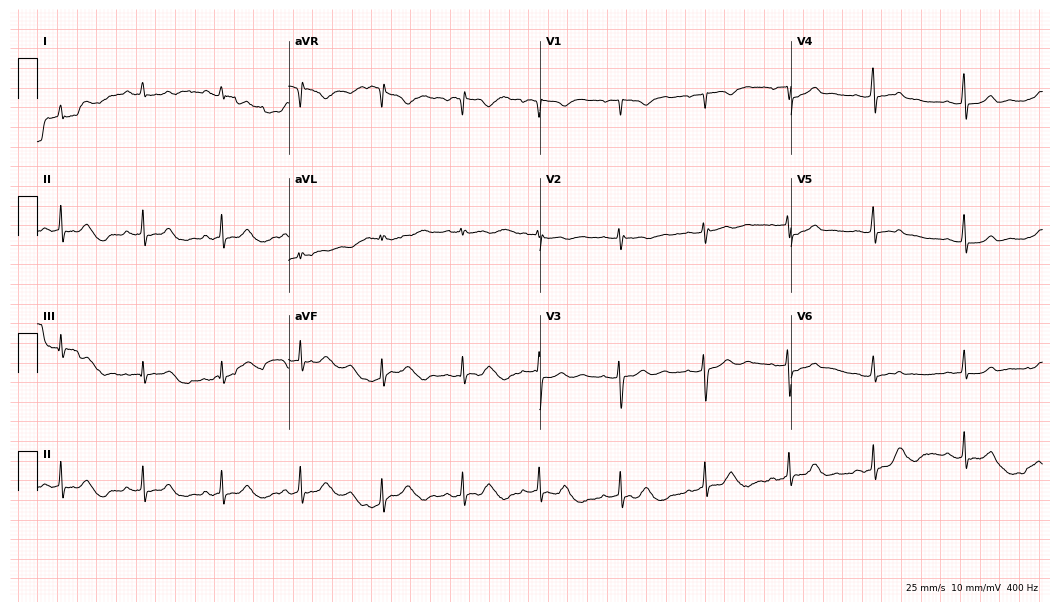
Resting 12-lead electrocardiogram. Patient: a 19-year-old woman. Read as a normal ECG.